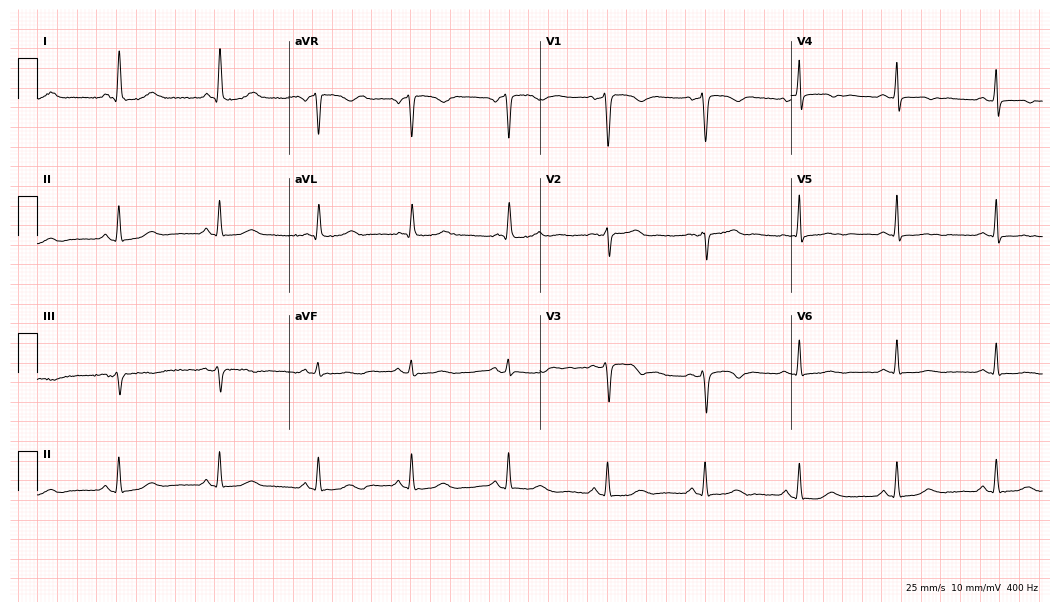
Electrocardiogram, a female, 54 years old. Of the six screened findings (first-degree AV block, right bundle branch block, left bundle branch block, sinus bradycardia, atrial fibrillation, sinus tachycardia), none is recorded. Findings outside these six are not listed.